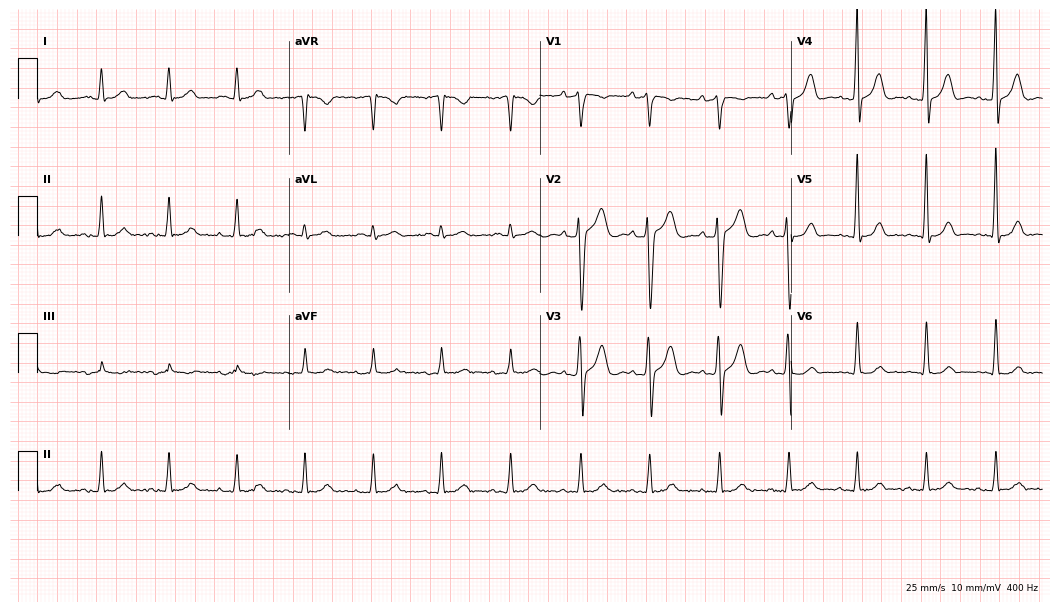
12-lead ECG from a male patient, 71 years old (10.2-second recording at 400 Hz). Recorded interpretation: within normal limits.